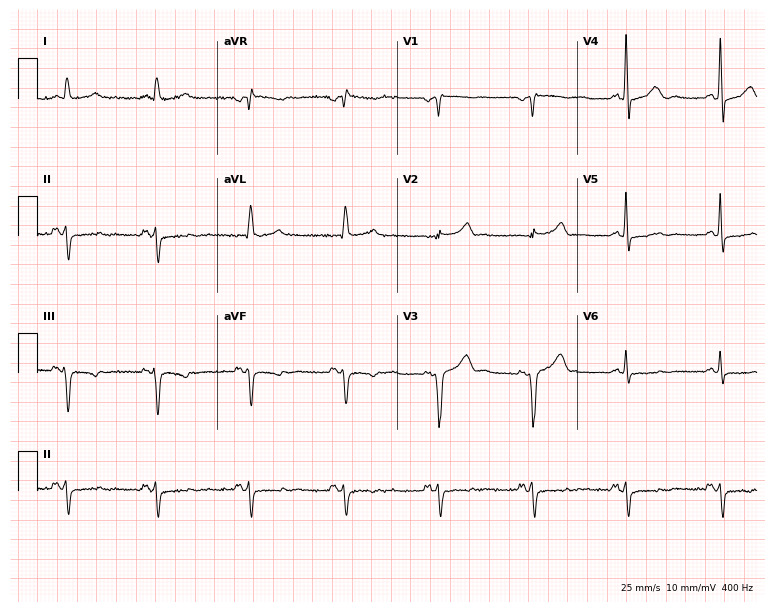
ECG — a male, 75 years old. Screened for six findings — first-degree AV block, right bundle branch block, left bundle branch block, sinus bradycardia, atrial fibrillation, sinus tachycardia — none is recorded. Other findings, if any, are not listed.